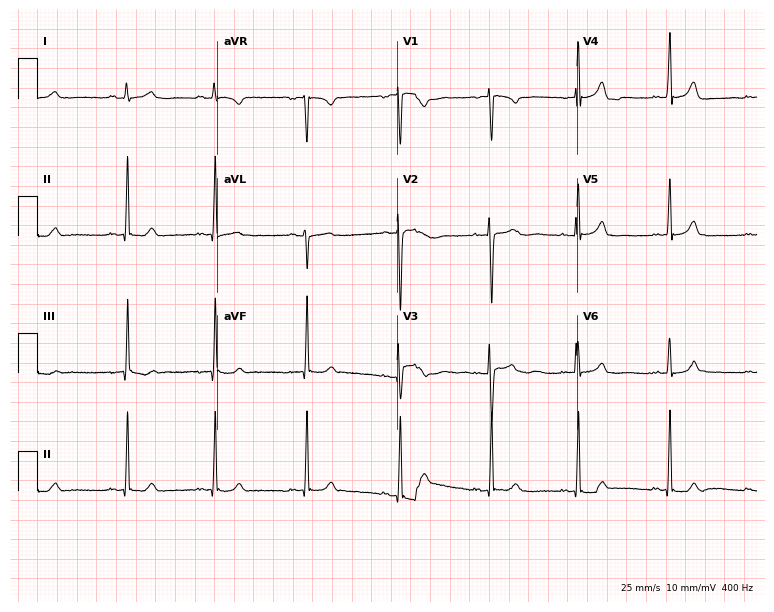
Electrocardiogram (7.3-second recording at 400 Hz), an 18-year-old female. Overall reading on record: normal ECG.